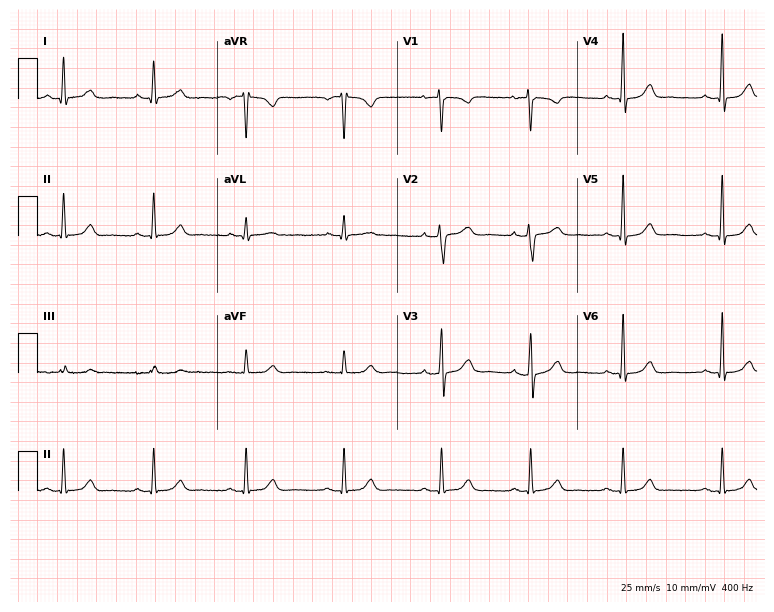
Resting 12-lead electrocardiogram (7.3-second recording at 400 Hz). Patient: a 24-year-old female. Read as a normal ECG.